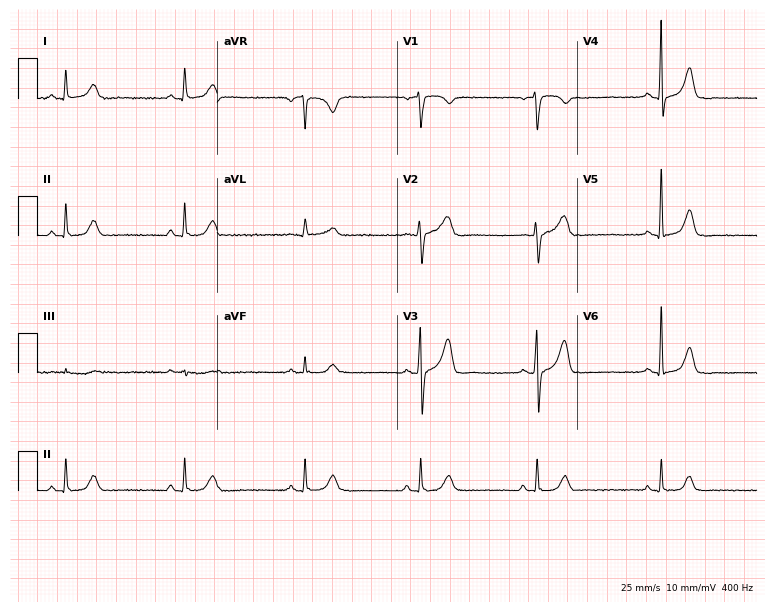
Resting 12-lead electrocardiogram (7.3-second recording at 400 Hz). Patient: a female, 54 years old. The tracing shows sinus bradycardia (a sinus rate of 50 beats per minute or less).